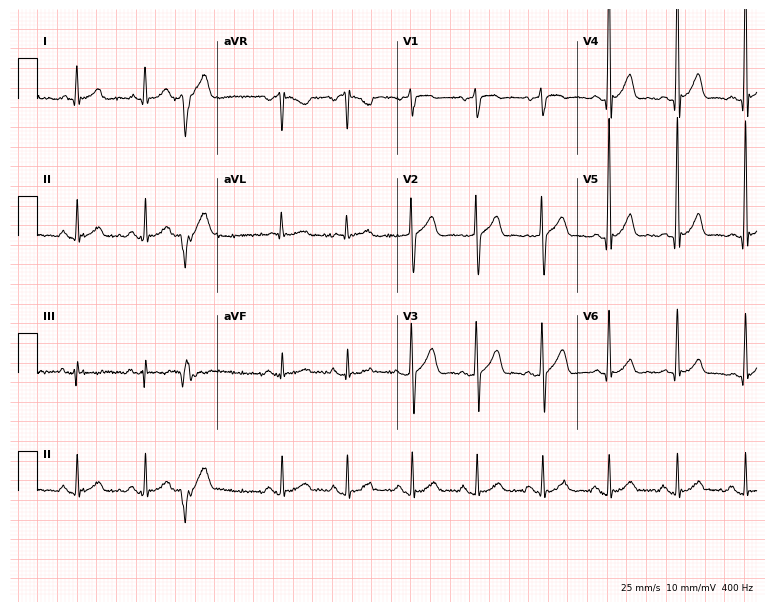
ECG (7.3-second recording at 400 Hz) — a 54-year-old male. Labelled as a normal ECG.